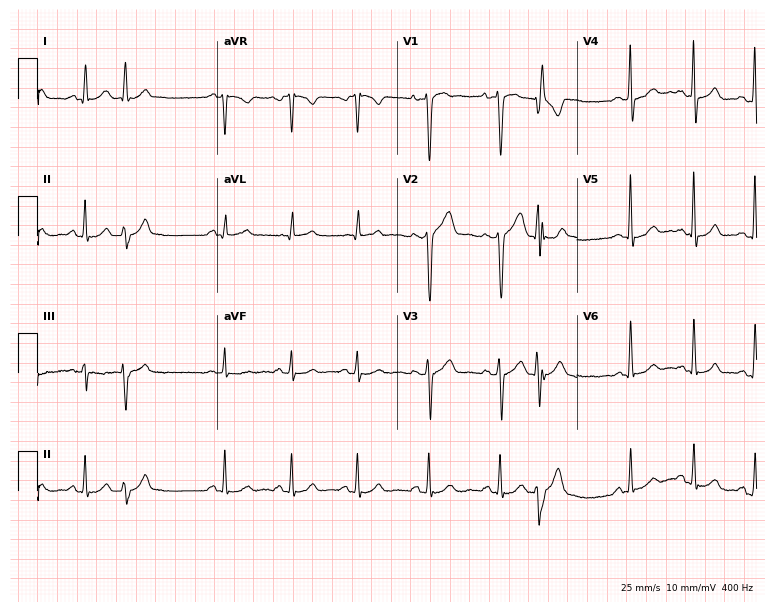
12-lead ECG from a 34-year-old man. No first-degree AV block, right bundle branch block, left bundle branch block, sinus bradycardia, atrial fibrillation or sinus tachycardia recorded for this tracing.